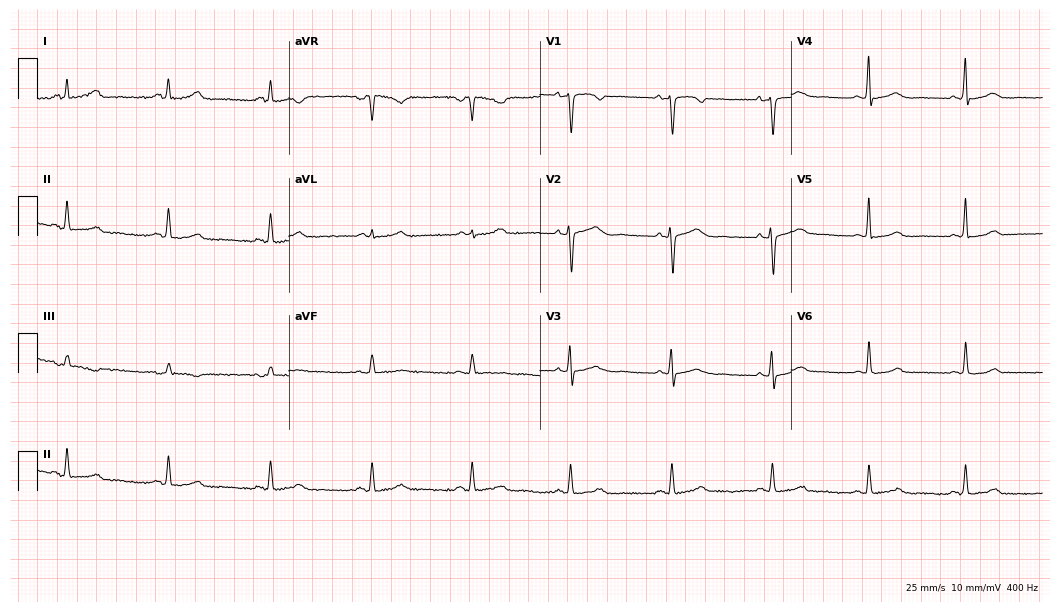
Electrocardiogram (10.2-second recording at 400 Hz), a 54-year-old female. Of the six screened findings (first-degree AV block, right bundle branch block, left bundle branch block, sinus bradycardia, atrial fibrillation, sinus tachycardia), none is recorded.